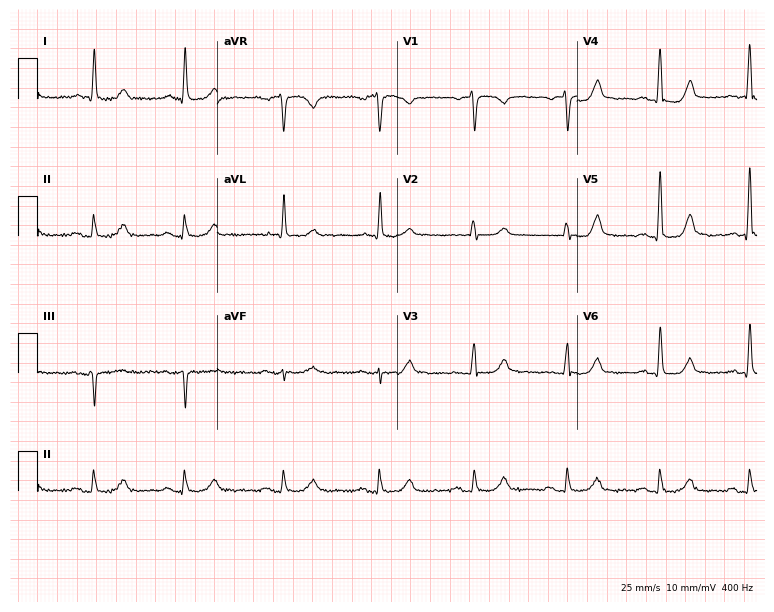
Resting 12-lead electrocardiogram (7.3-second recording at 400 Hz). Patient: a female, 73 years old. Read as a normal ECG.